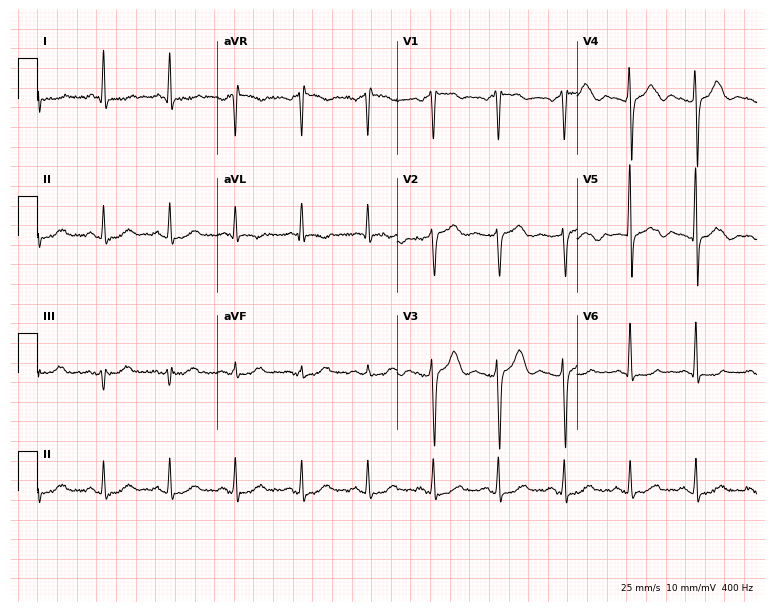
Standard 12-lead ECG recorded from a male patient, 60 years old (7.3-second recording at 400 Hz). Read as a normal ECG.